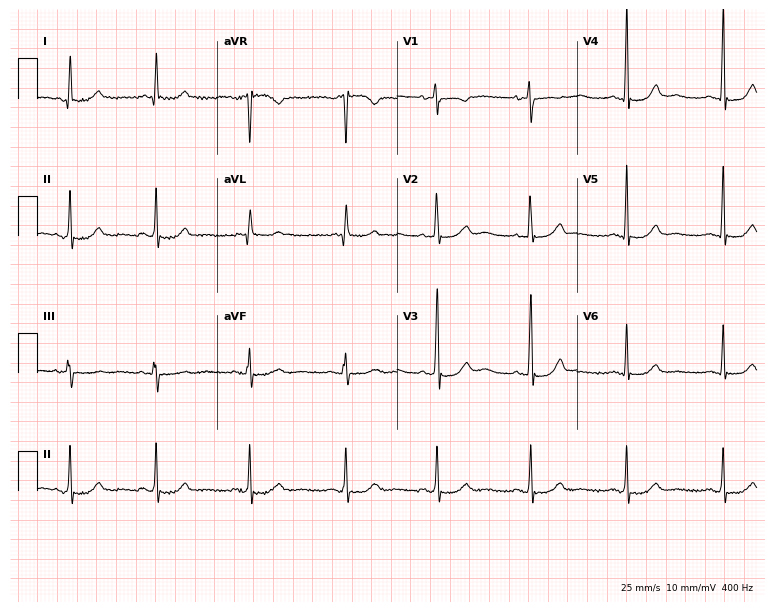
12-lead ECG from a 64-year-old woman. No first-degree AV block, right bundle branch block, left bundle branch block, sinus bradycardia, atrial fibrillation or sinus tachycardia recorded for this tracing. Findings outside these six are not listed.